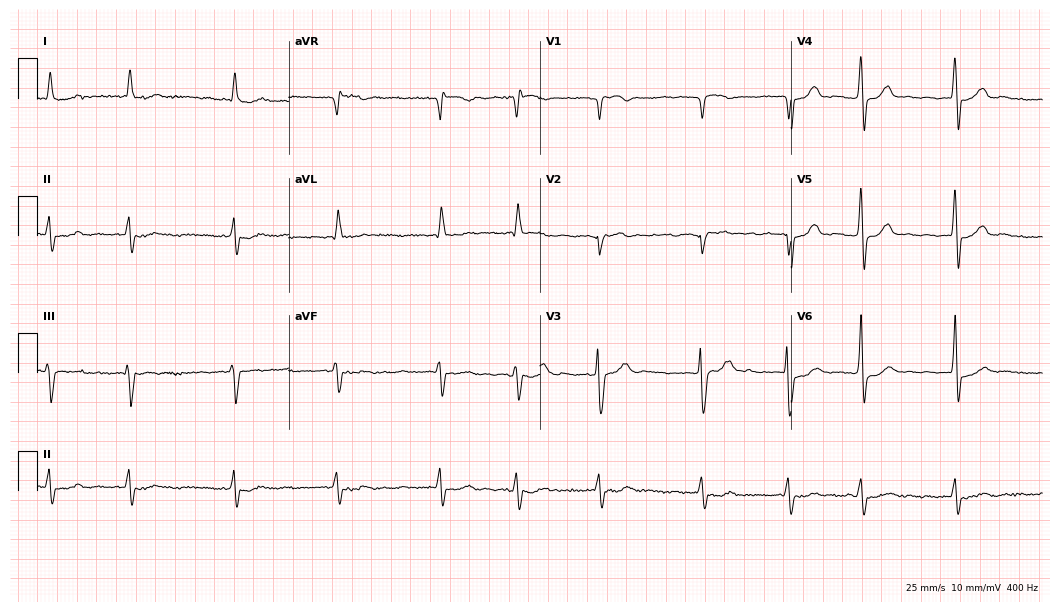
Standard 12-lead ECG recorded from an 82-year-old female. The tracing shows atrial fibrillation.